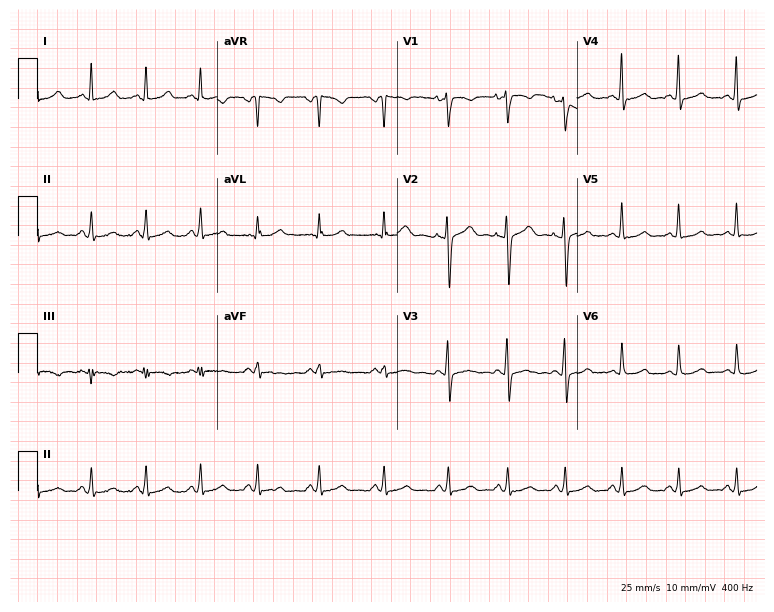
12-lead ECG from a 31-year-old female (7.3-second recording at 400 Hz). Shows sinus tachycardia (a sinus rate of 100 beats per minute or more).